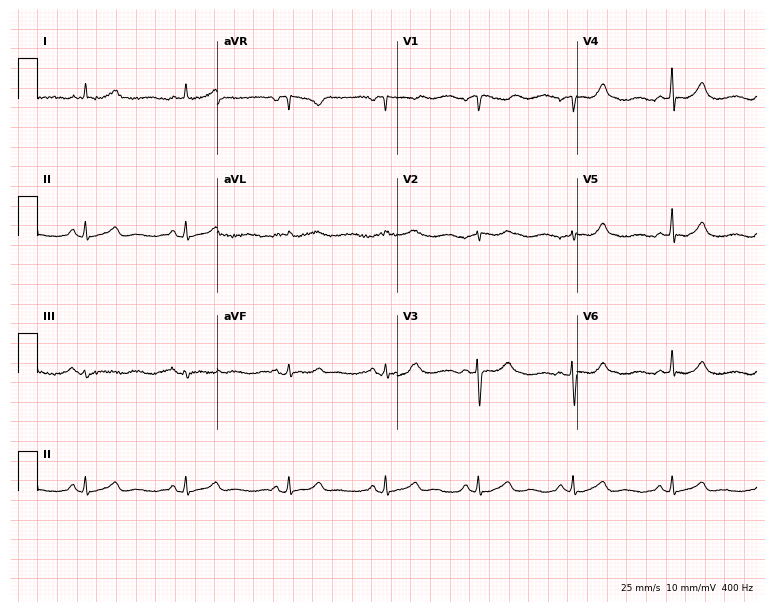
12-lead ECG from a 45-year-old woman (7.3-second recording at 400 Hz). Recorded interpretation: within normal limits.